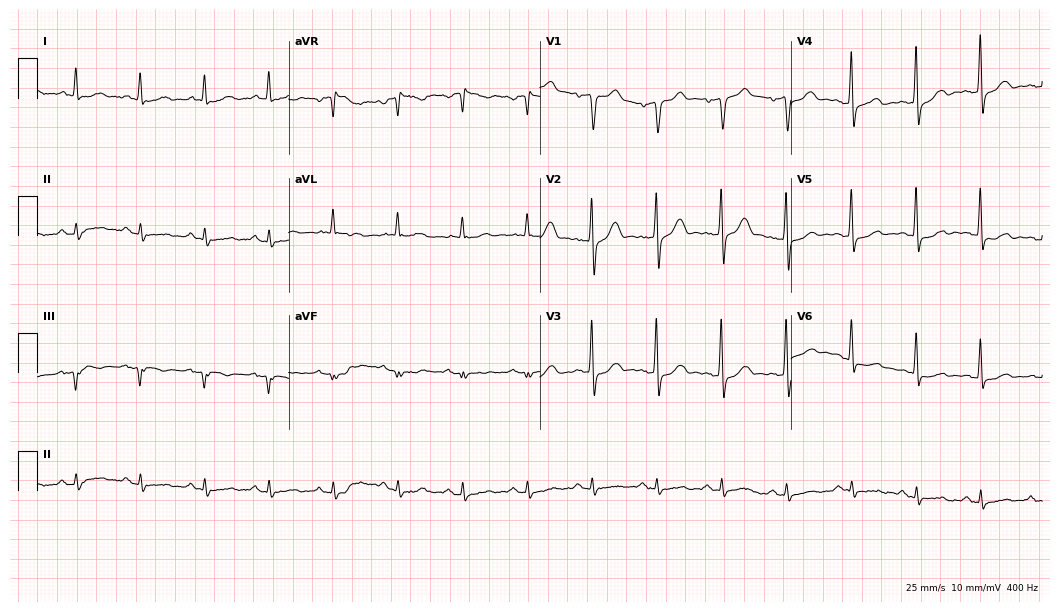
12-lead ECG from a 71-year-old man. No first-degree AV block, right bundle branch block, left bundle branch block, sinus bradycardia, atrial fibrillation or sinus tachycardia recorded for this tracing.